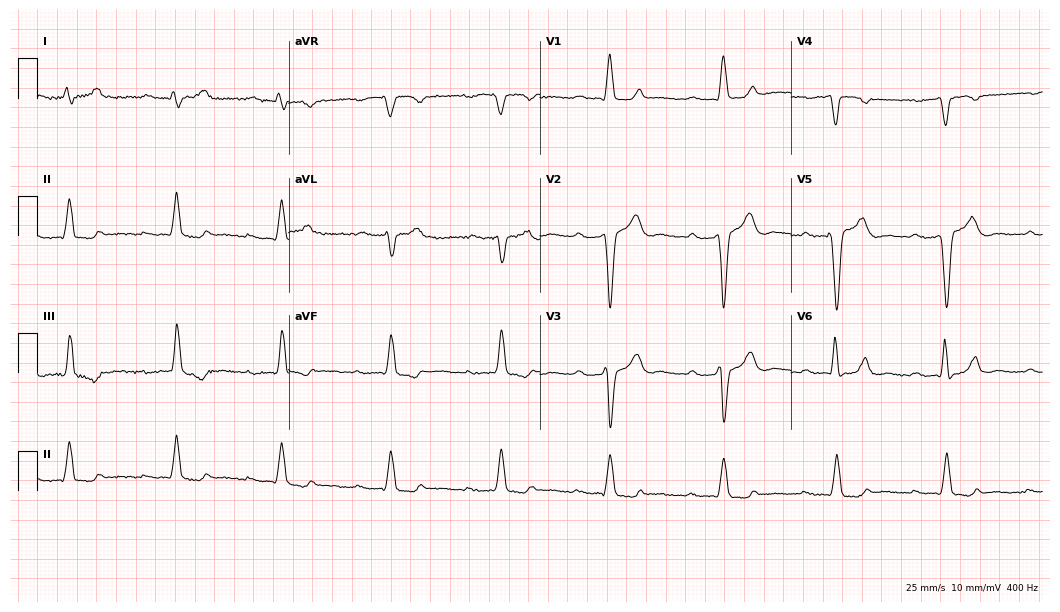
12-lead ECG from an 80-year-old man. Screened for six findings — first-degree AV block, right bundle branch block (RBBB), left bundle branch block (LBBB), sinus bradycardia, atrial fibrillation (AF), sinus tachycardia — none is recorded.